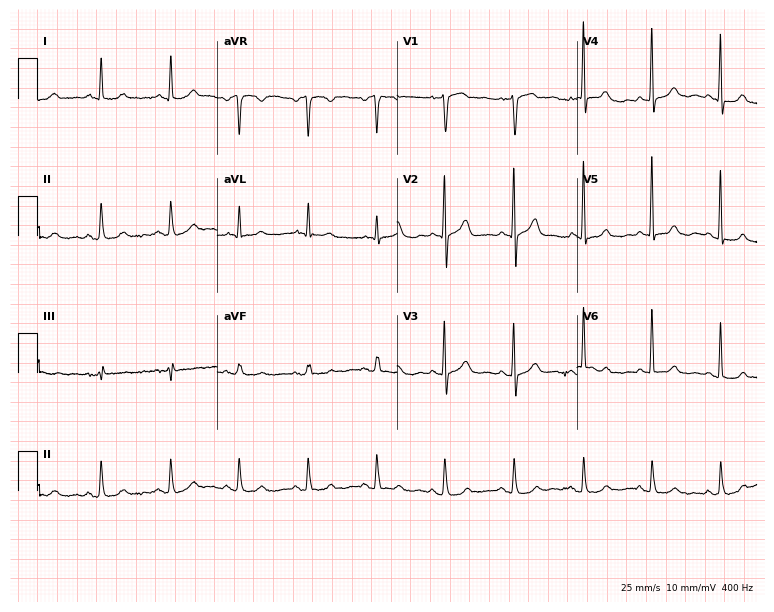
12-lead ECG (7.3-second recording at 400 Hz) from a 76-year-old man. Labelled as a normal ECG.